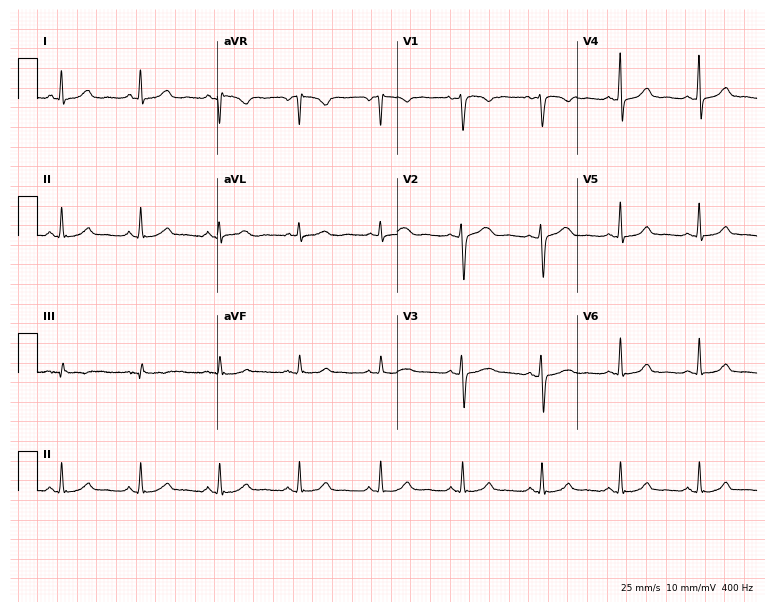
Standard 12-lead ECG recorded from a female patient, 42 years old. Read as a normal ECG.